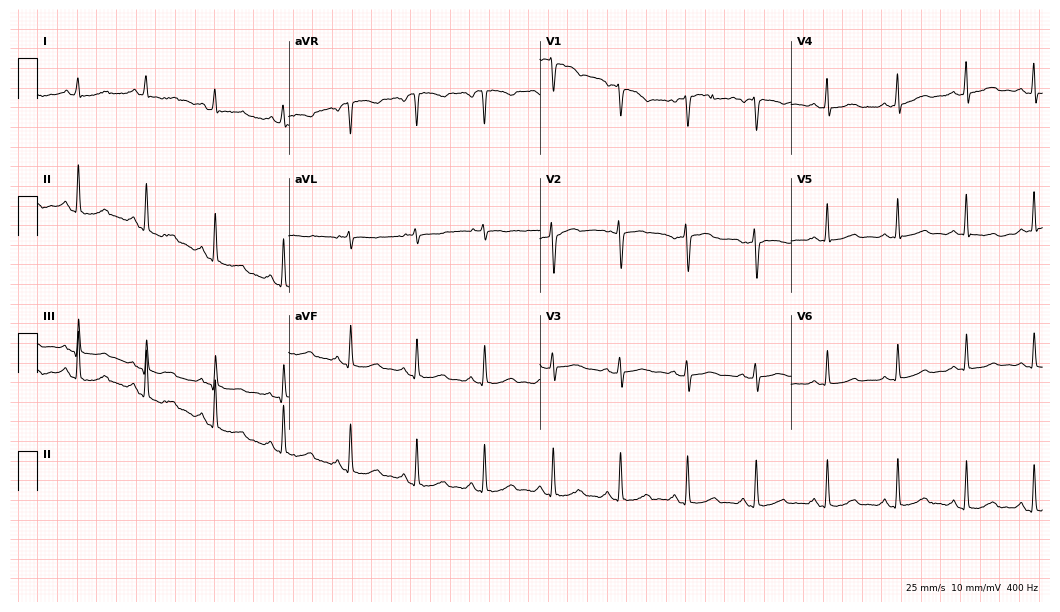
Standard 12-lead ECG recorded from a female, 49 years old (10.2-second recording at 400 Hz). Read as a normal ECG.